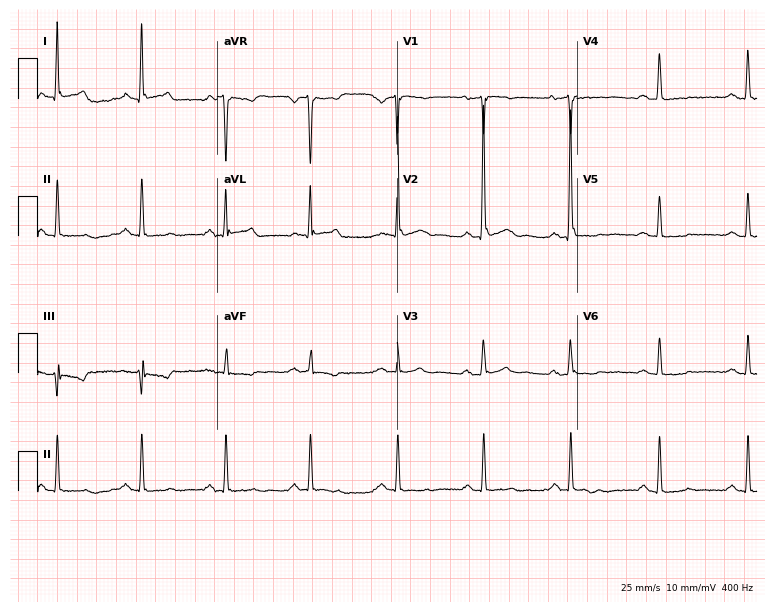
ECG — a 53-year-old male. Labelled as a normal ECG.